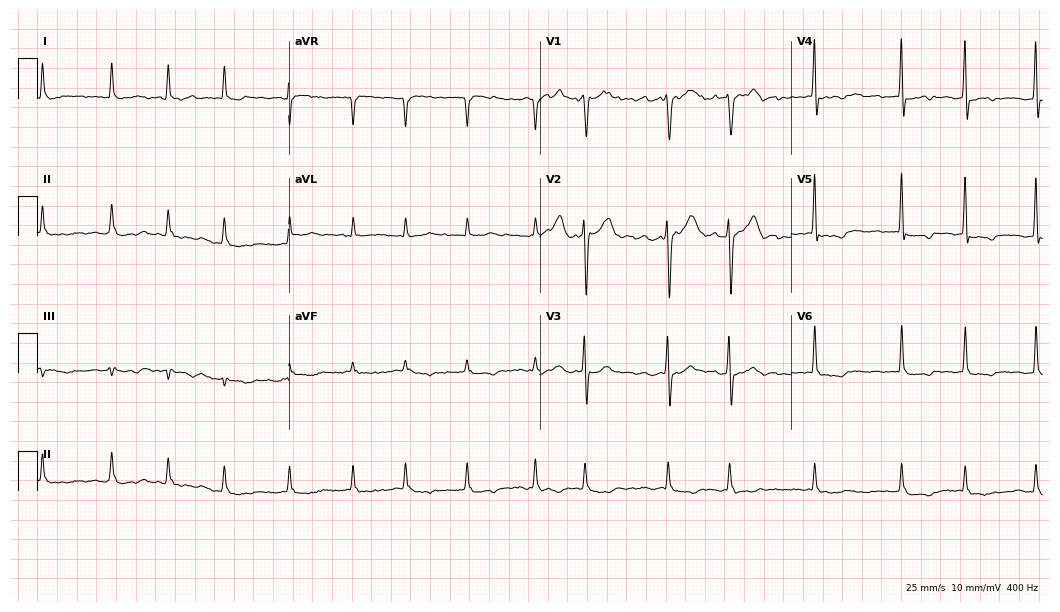
12-lead ECG from a 77-year-old male. Findings include atrial fibrillation.